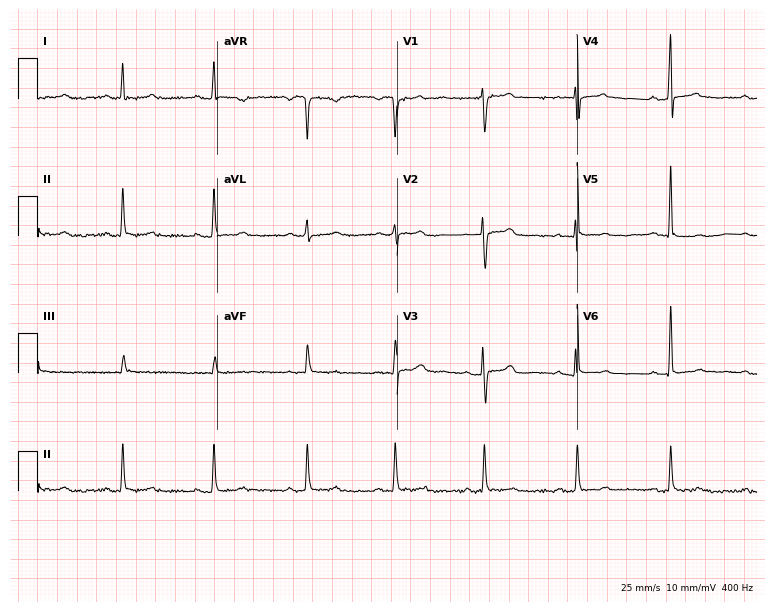
Standard 12-lead ECG recorded from a woman, 49 years old. Read as a normal ECG.